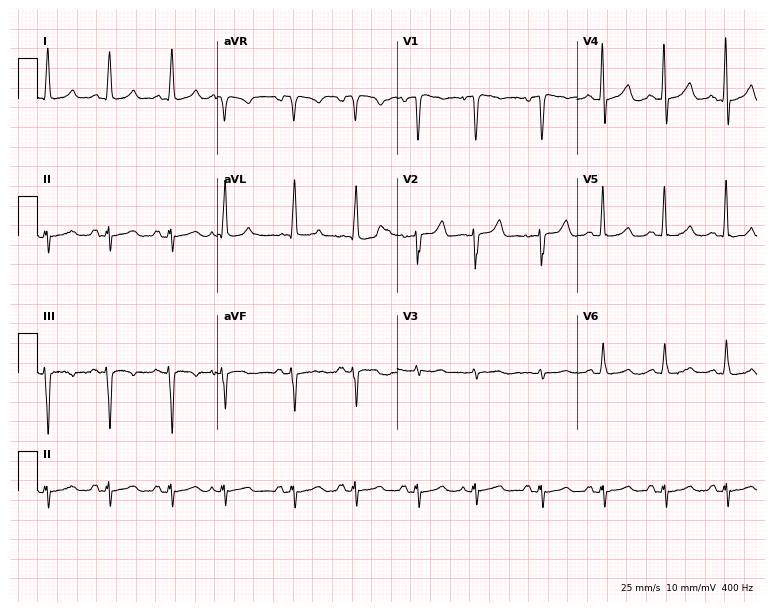
Resting 12-lead electrocardiogram. Patient: a male, 71 years old. None of these six findings is recorded: first-degree AV block, right bundle branch block, left bundle branch block, sinus bradycardia, atrial fibrillation, sinus tachycardia. Only these six findings were labelled.